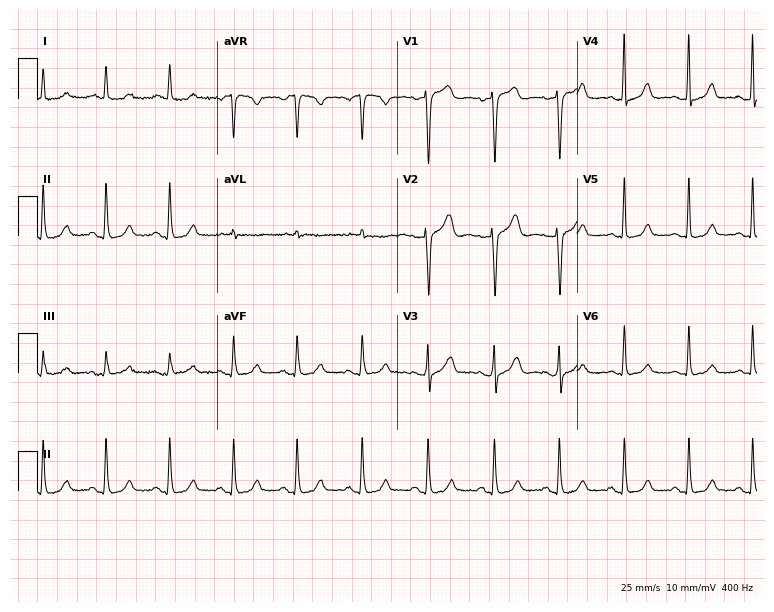
12-lead ECG from a female, 61 years old (7.3-second recording at 400 Hz). Recorded interpretation: within normal limits.